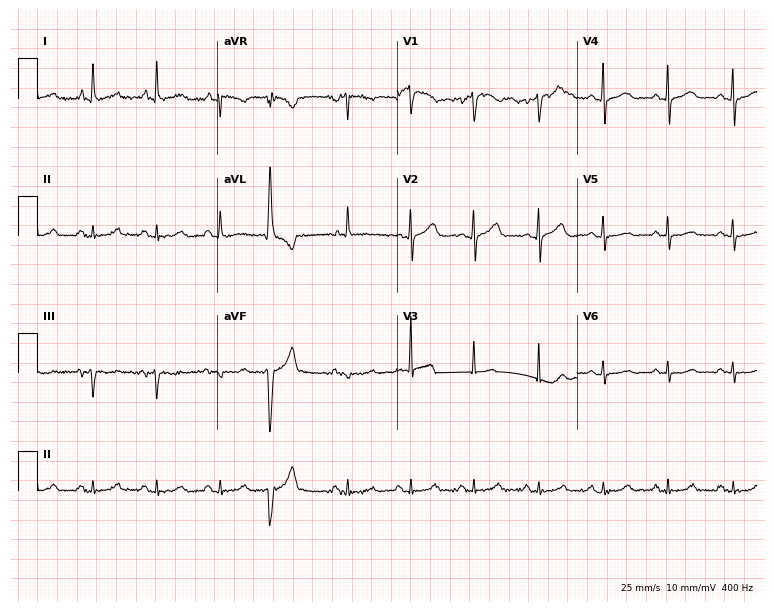
12-lead ECG from a female, 85 years old. Screened for six findings — first-degree AV block, right bundle branch block (RBBB), left bundle branch block (LBBB), sinus bradycardia, atrial fibrillation (AF), sinus tachycardia — none is recorded.